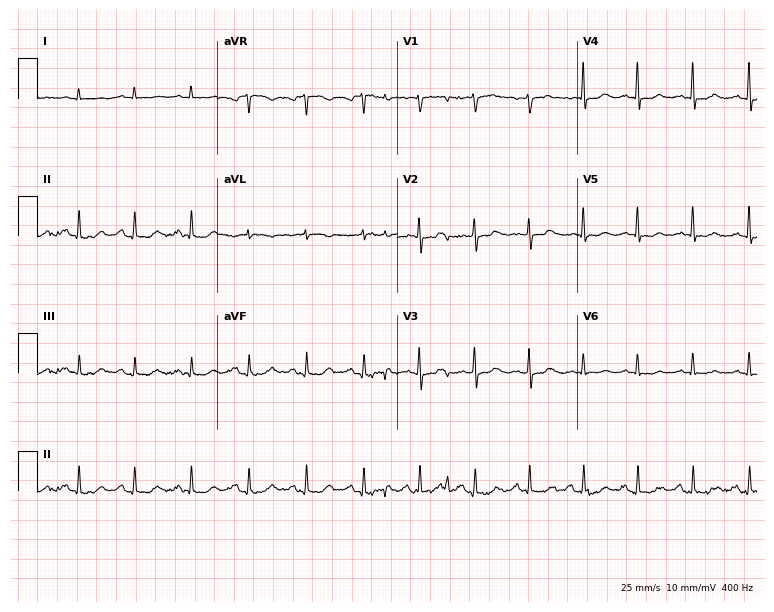
12-lead ECG from a 40-year-old woman. Findings include sinus tachycardia (a sinus rate of 100 beats per minute or more).